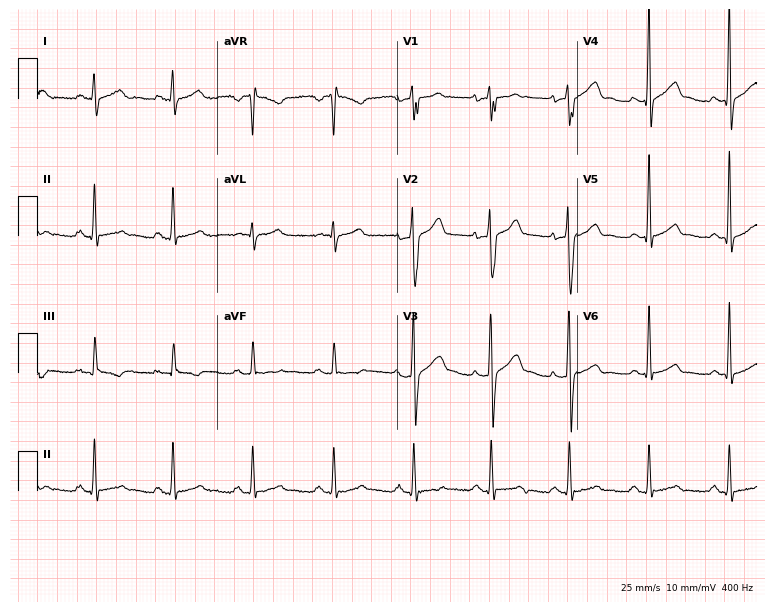
12-lead ECG (7.3-second recording at 400 Hz) from a 45-year-old man. Labelled as a normal ECG.